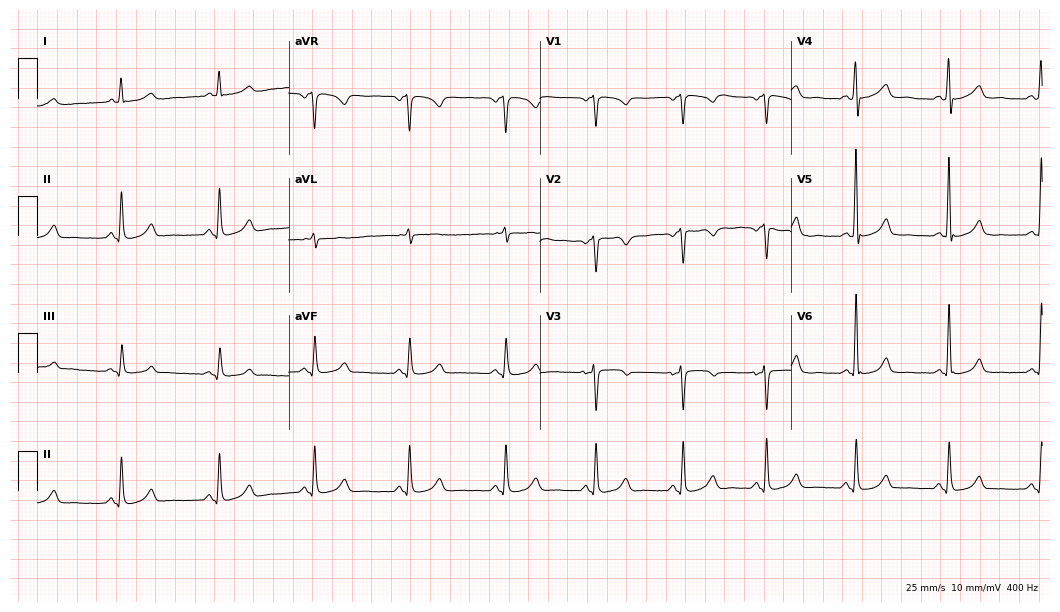
ECG (10.2-second recording at 400 Hz) — a 45-year-old female patient. Screened for six findings — first-degree AV block, right bundle branch block (RBBB), left bundle branch block (LBBB), sinus bradycardia, atrial fibrillation (AF), sinus tachycardia — none is recorded. Other findings, if any, are not listed.